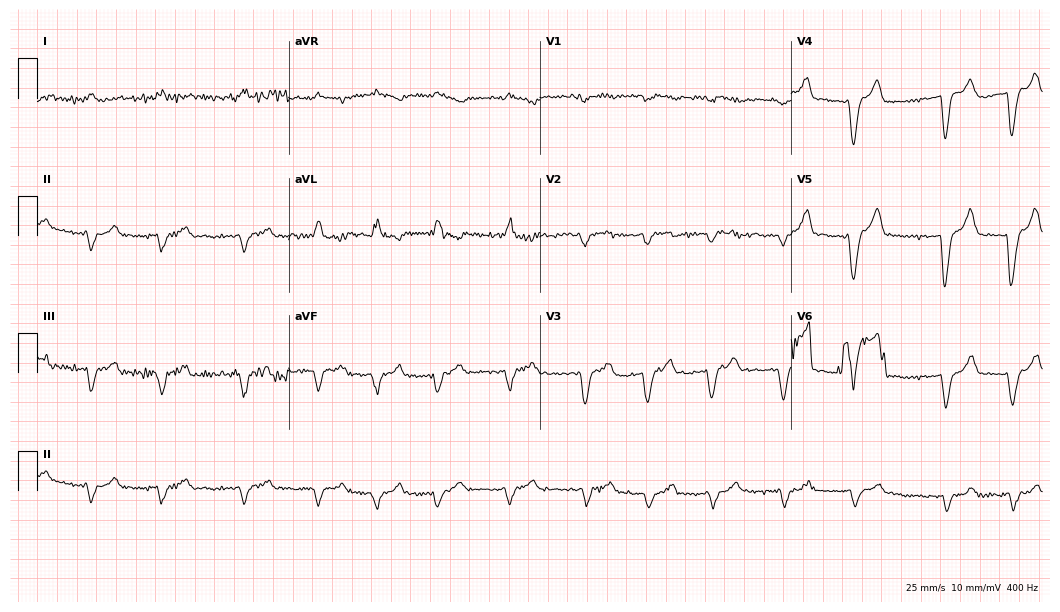
ECG (10.2-second recording at 400 Hz) — a male, 82 years old. Screened for six findings — first-degree AV block, right bundle branch block, left bundle branch block, sinus bradycardia, atrial fibrillation, sinus tachycardia — none is recorded.